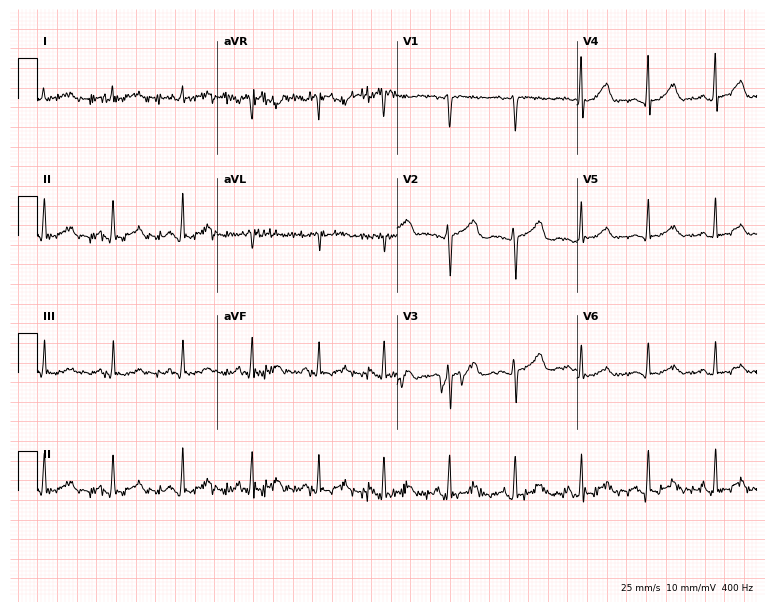
ECG (7.3-second recording at 400 Hz) — a woman, 46 years old. Labelled as a normal ECG.